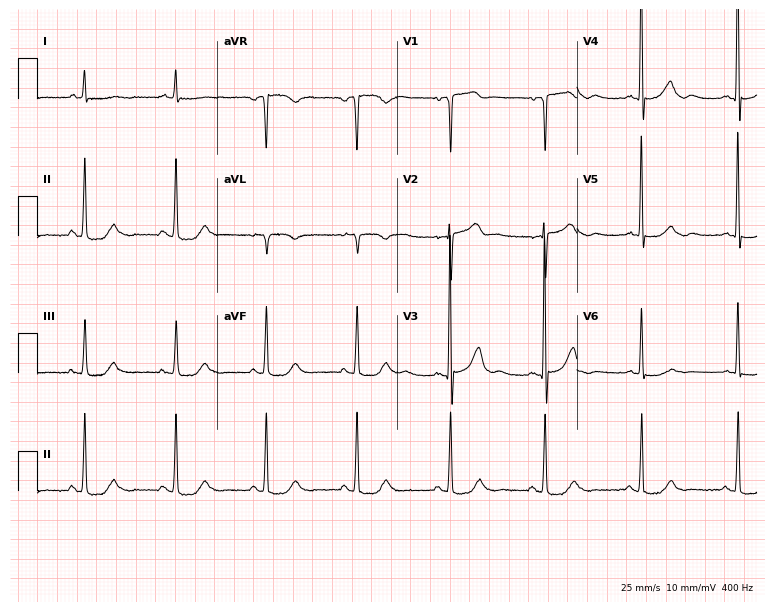
Resting 12-lead electrocardiogram (7.3-second recording at 400 Hz). Patient: a man, 73 years old. None of these six findings is recorded: first-degree AV block, right bundle branch block, left bundle branch block, sinus bradycardia, atrial fibrillation, sinus tachycardia.